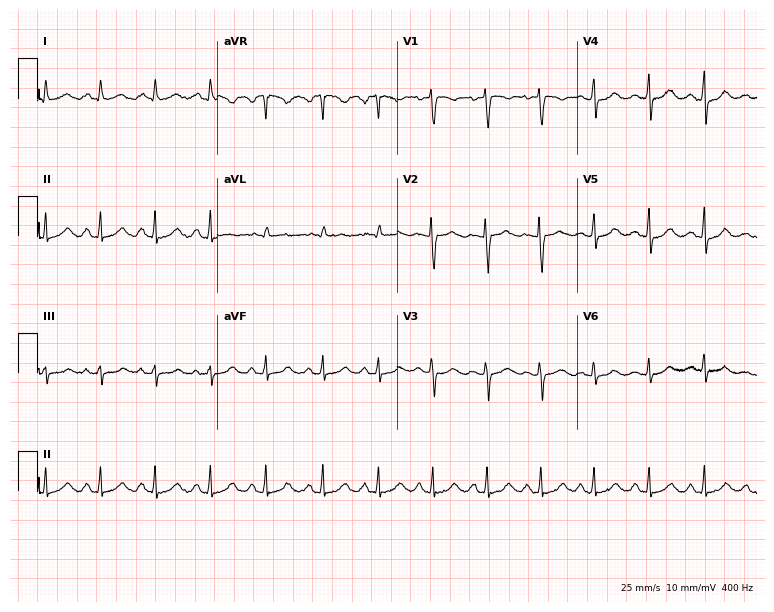
Standard 12-lead ECG recorded from a woman, 17 years old (7.3-second recording at 400 Hz). The tracing shows sinus tachycardia (a sinus rate of 100 beats per minute or more).